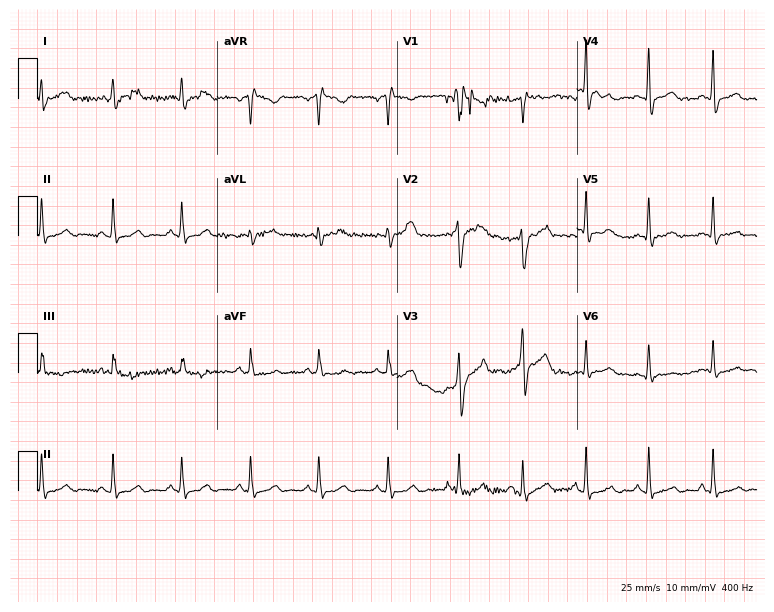
12-lead ECG from a male patient, 33 years old. Recorded interpretation: within normal limits.